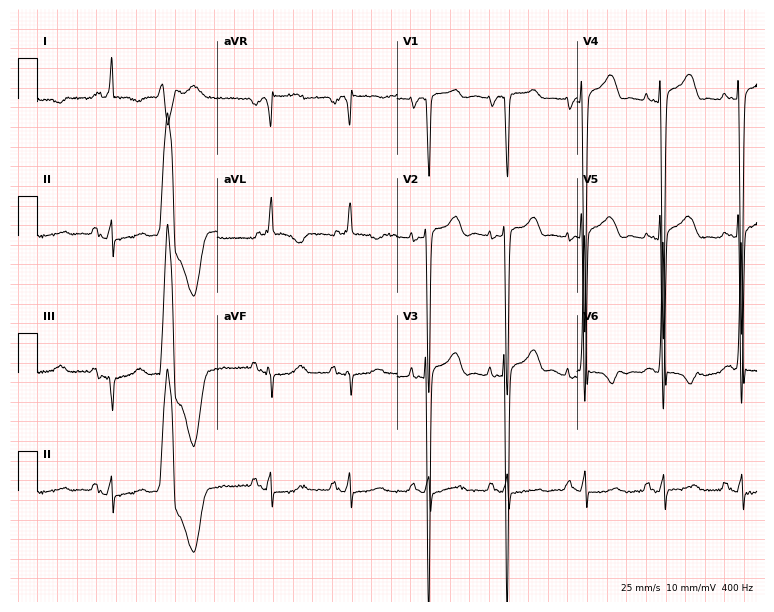
Resting 12-lead electrocardiogram. Patient: a 53-year-old male. None of these six findings is recorded: first-degree AV block, right bundle branch block, left bundle branch block, sinus bradycardia, atrial fibrillation, sinus tachycardia.